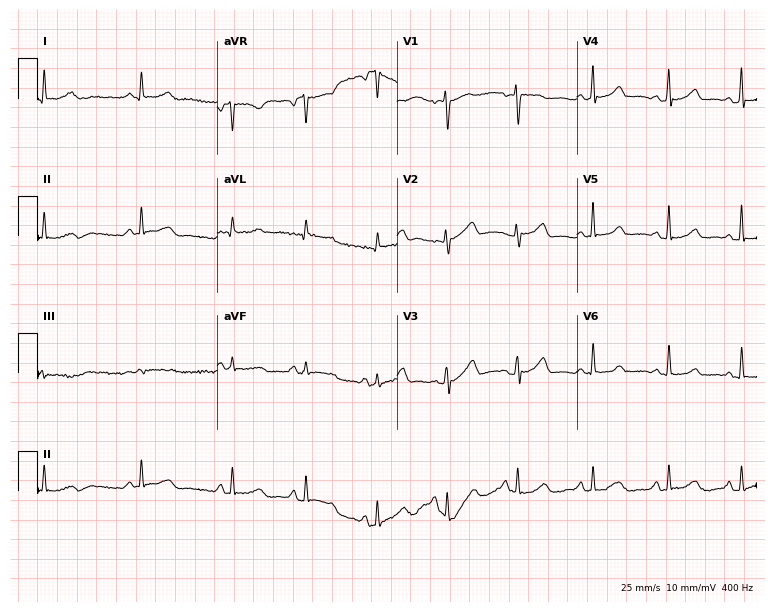
Electrocardiogram, a female patient, 32 years old. Of the six screened findings (first-degree AV block, right bundle branch block (RBBB), left bundle branch block (LBBB), sinus bradycardia, atrial fibrillation (AF), sinus tachycardia), none is recorded.